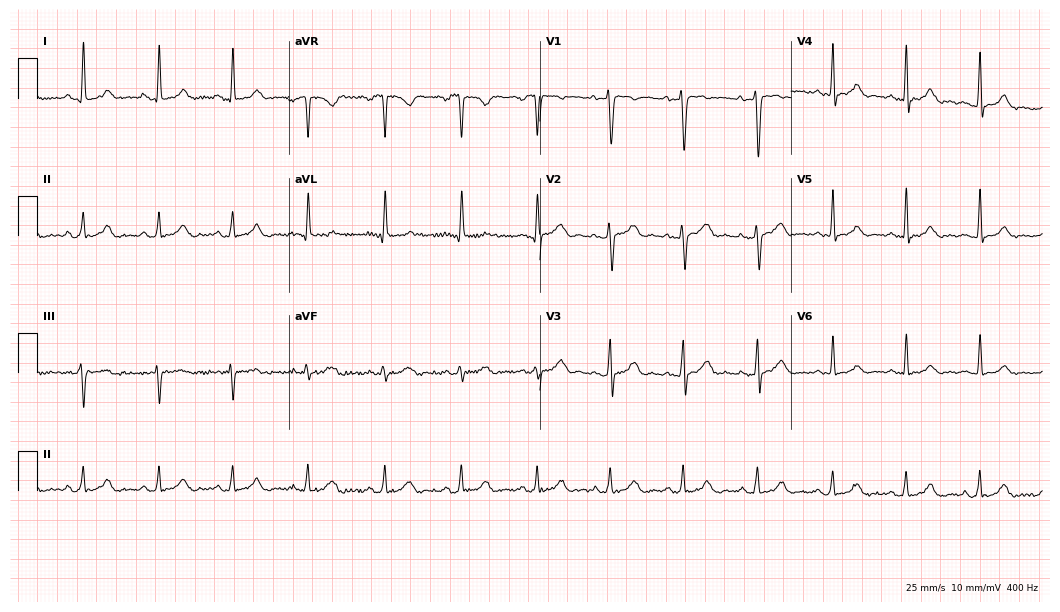
Electrocardiogram, a female, 19 years old. Overall reading on record: normal ECG.